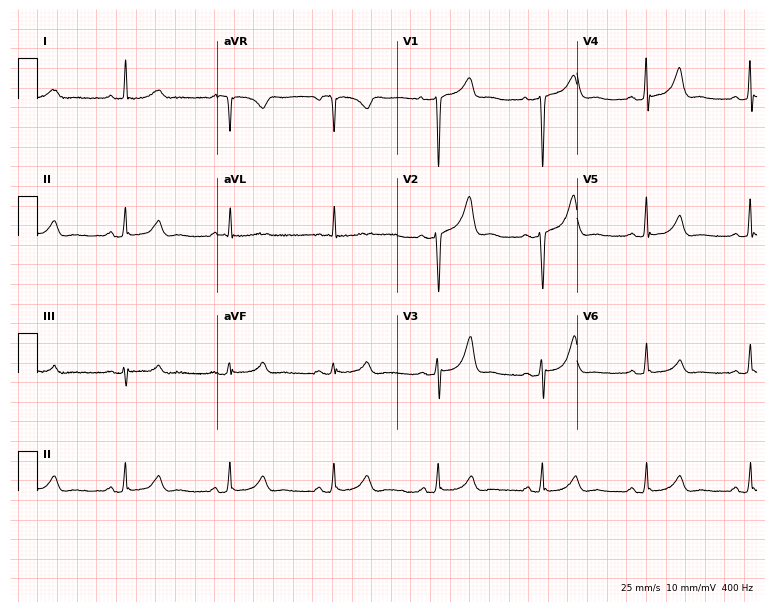
12-lead ECG from a 54-year-old female patient. Recorded interpretation: within normal limits.